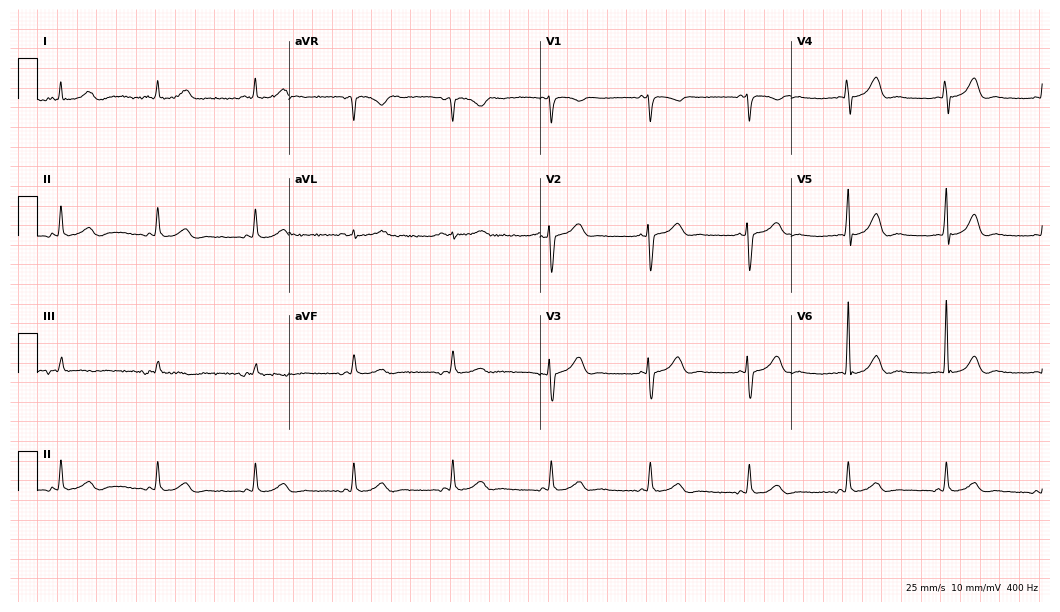
ECG — a 52-year-old female patient. Labelled as a normal ECG.